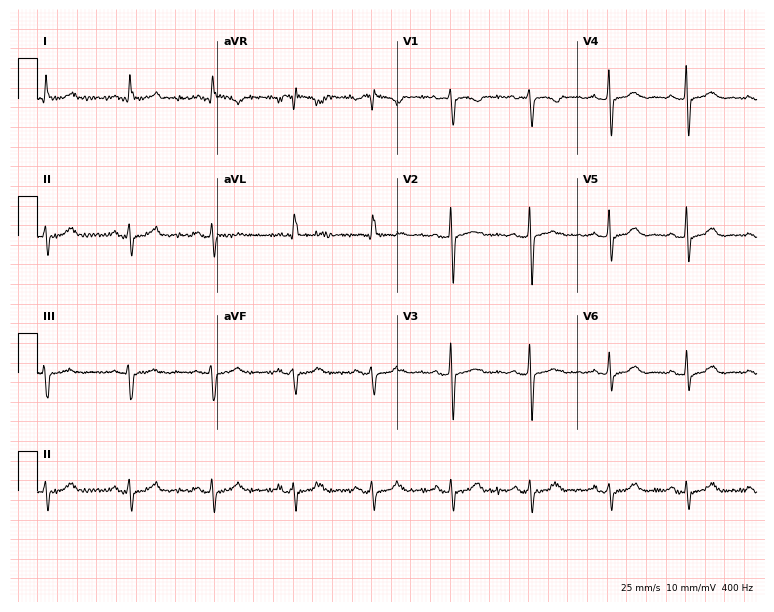
Resting 12-lead electrocardiogram. Patient: a 59-year-old female. None of these six findings is recorded: first-degree AV block, right bundle branch block, left bundle branch block, sinus bradycardia, atrial fibrillation, sinus tachycardia. Other findings, if any, are not listed.